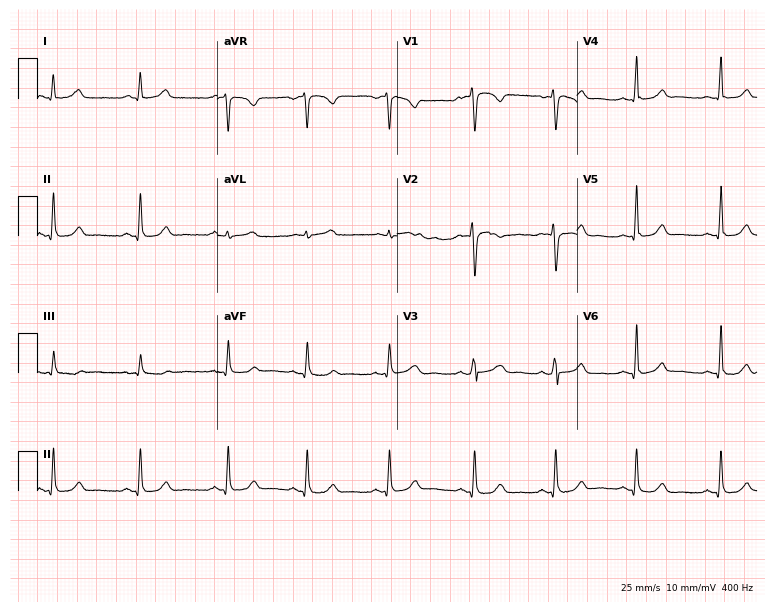
Electrocardiogram (7.3-second recording at 400 Hz), a female patient, 40 years old. Of the six screened findings (first-degree AV block, right bundle branch block, left bundle branch block, sinus bradycardia, atrial fibrillation, sinus tachycardia), none is recorded. Findings outside these six are not listed.